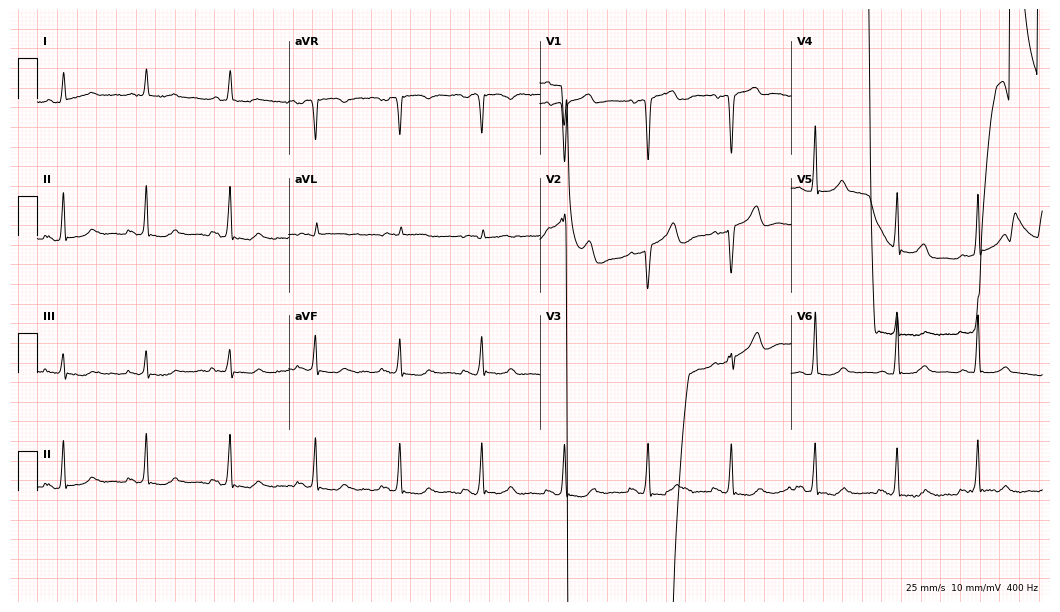
Electrocardiogram, a man, 63 years old. Of the six screened findings (first-degree AV block, right bundle branch block, left bundle branch block, sinus bradycardia, atrial fibrillation, sinus tachycardia), none is recorded. Other findings, if any, are not listed.